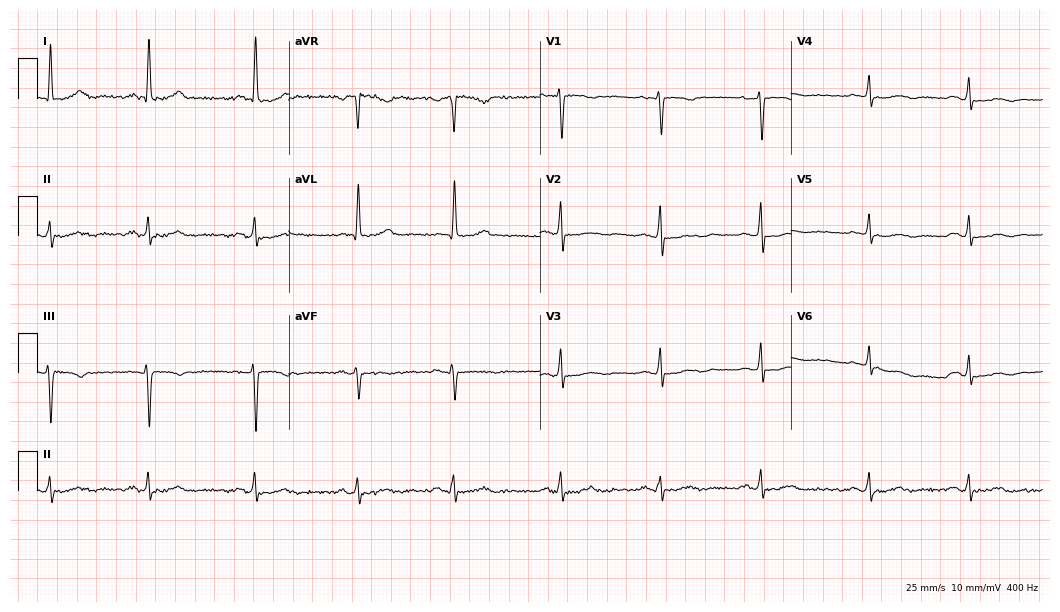
Electrocardiogram, a 36-year-old woman. Of the six screened findings (first-degree AV block, right bundle branch block, left bundle branch block, sinus bradycardia, atrial fibrillation, sinus tachycardia), none is recorded.